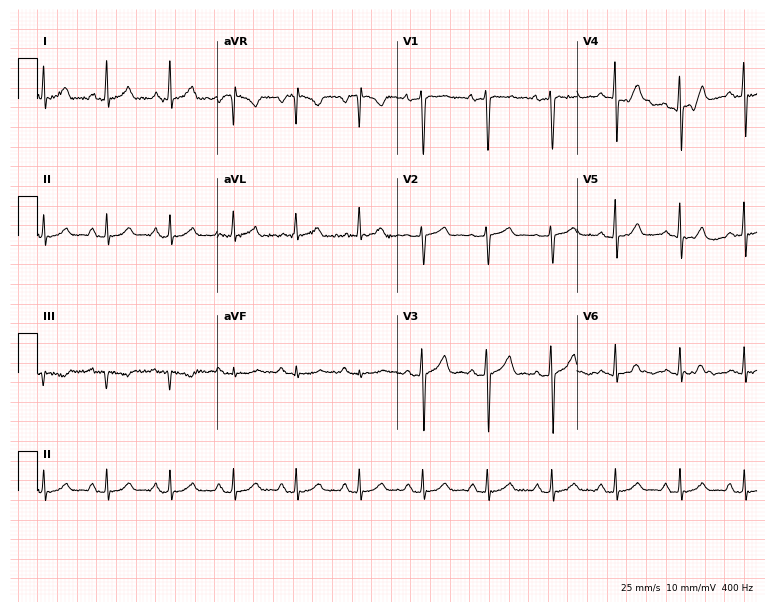
12-lead ECG from a 62-year-old man (7.3-second recording at 400 Hz). Recorded interpretation: within normal limits.